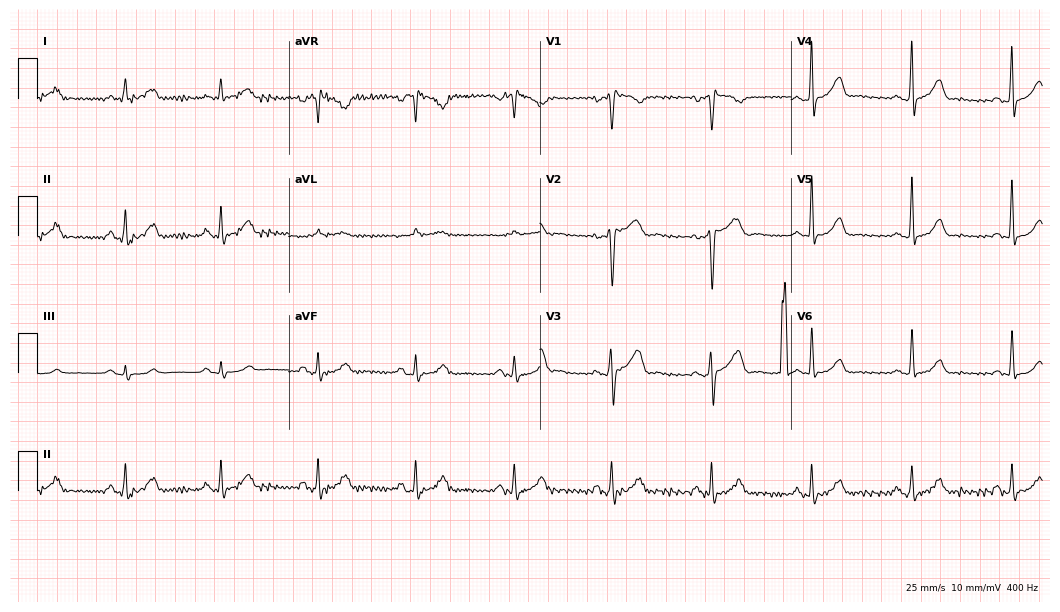
12-lead ECG from a 51-year-old male. No first-degree AV block, right bundle branch block (RBBB), left bundle branch block (LBBB), sinus bradycardia, atrial fibrillation (AF) or sinus tachycardia recorded for this tracing.